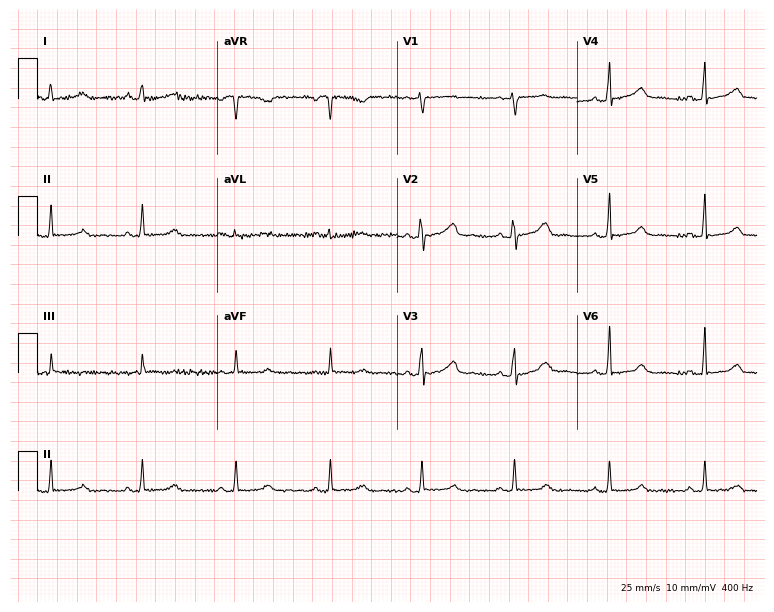
Electrocardiogram, a female, 35 years old. Of the six screened findings (first-degree AV block, right bundle branch block (RBBB), left bundle branch block (LBBB), sinus bradycardia, atrial fibrillation (AF), sinus tachycardia), none is recorded. Other findings, if any, are not listed.